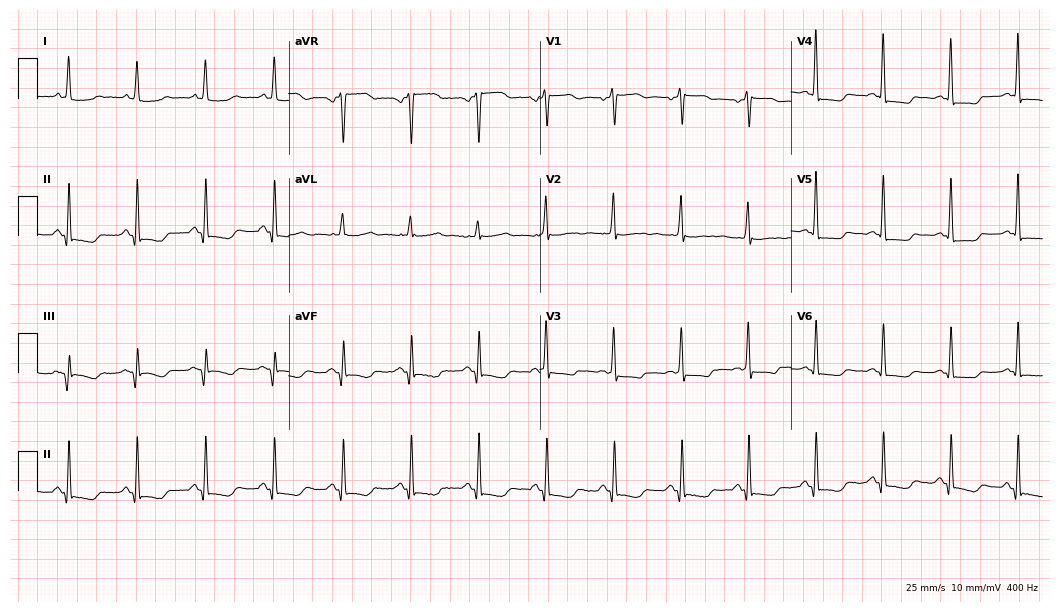
Resting 12-lead electrocardiogram (10.2-second recording at 400 Hz). Patient: a female, 64 years old. None of these six findings is recorded: first-degree AV block, right bundle branch block (RBBB), left bundle branch block (LBBB), sinus bradycardia, atrial fibrillation (AF), sinus tachycardia. Findings outside these six are not listed.